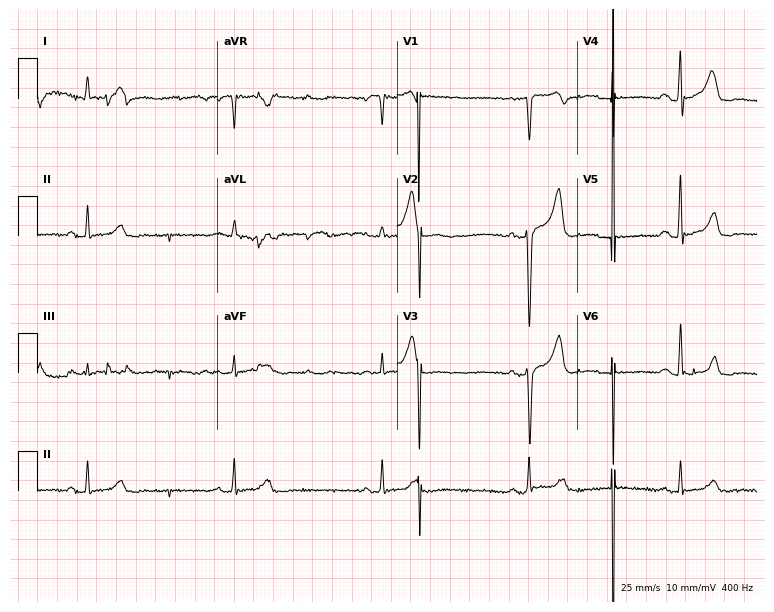
Resting 12-lead electrocardiogram. Patient: a man, 43 years old. None of these six findings is recorded: first-degree AV block, right bundle branch block, left bundle branch block, sinus bradycardia, atrial fibrillation, sinus tachycardia. Only these six findings were labelled.